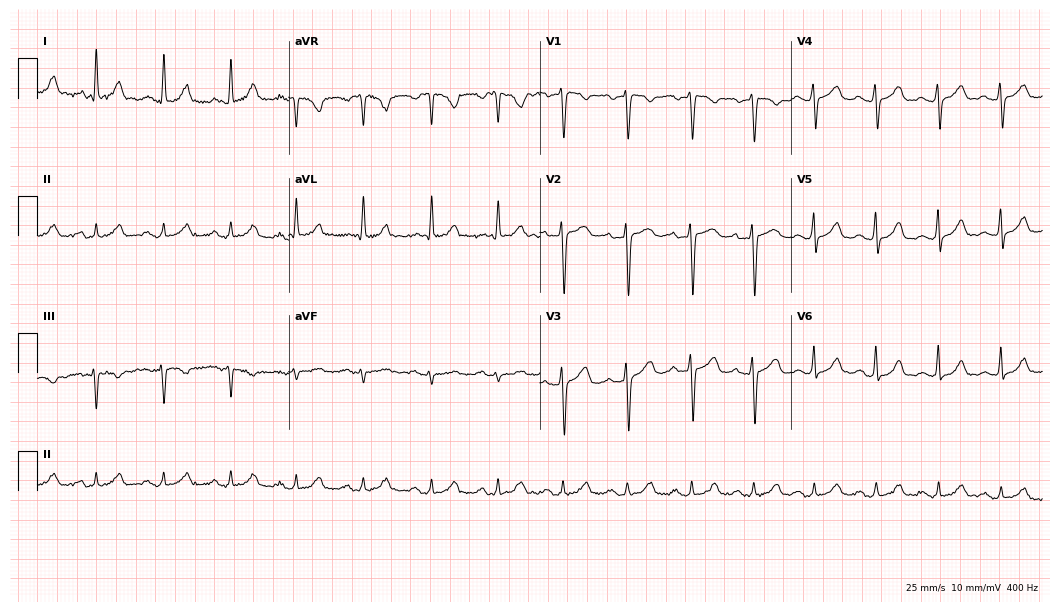
ECG (10.2-second recording at 400 Hz) — a 41-year-old woman. Labelled as a normal ECG.